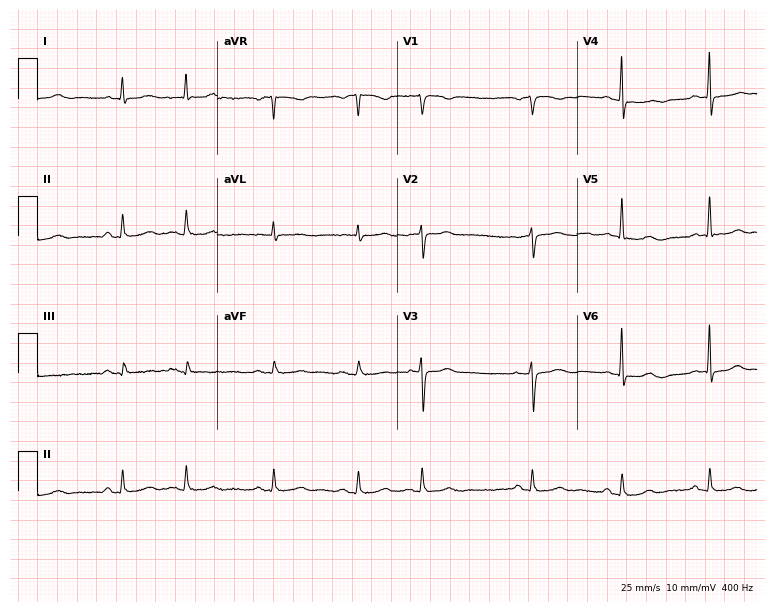
Resting 12-lead electrocardiogram. Patient: a 75-year-old female. None of these six findings is recorded: first-degree AV block, right bundle branch block, left bundle branch block, sinus bradycardia, atrial fibrillation, sinus tachycardia.